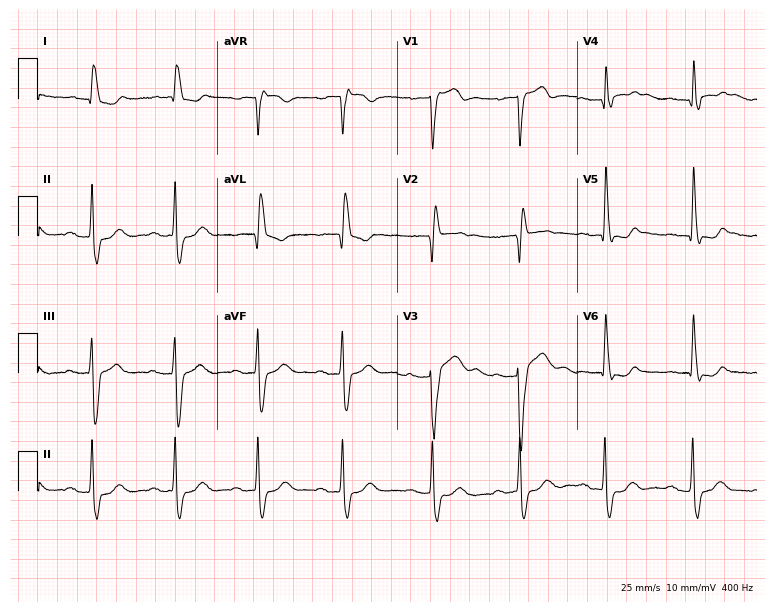
ECG — an 86-year-old man. Findings include first-degree AV block.